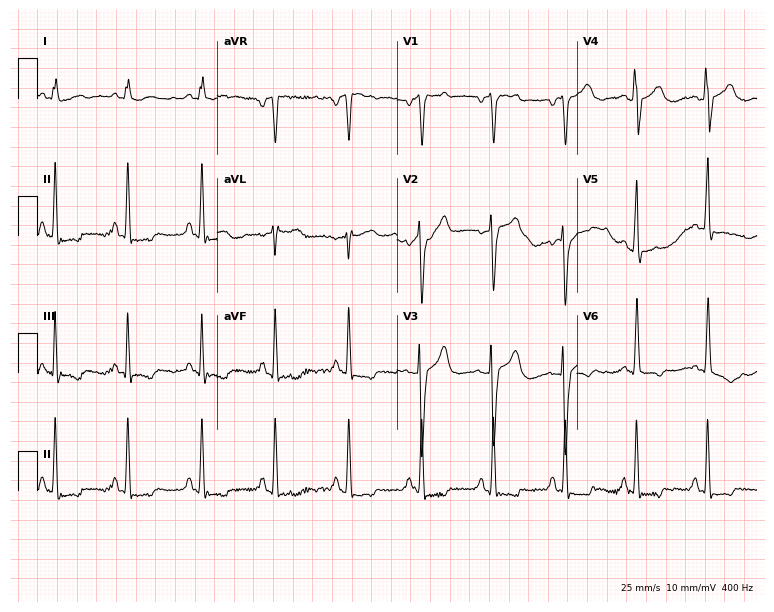
12-lead ECG (7.3-second recording at 400 Hz) from a male patient, 57 years old. Labelled as a normal ECG.